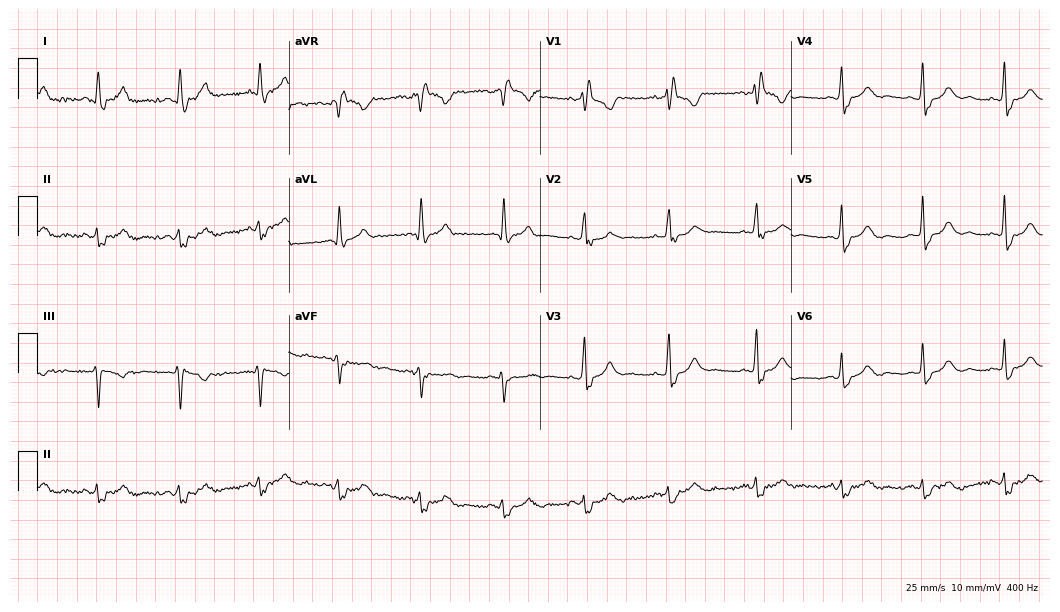
Electrocardiogram, a 48-year-old woman. Interpretation includes right bundle branch block (RBBB).